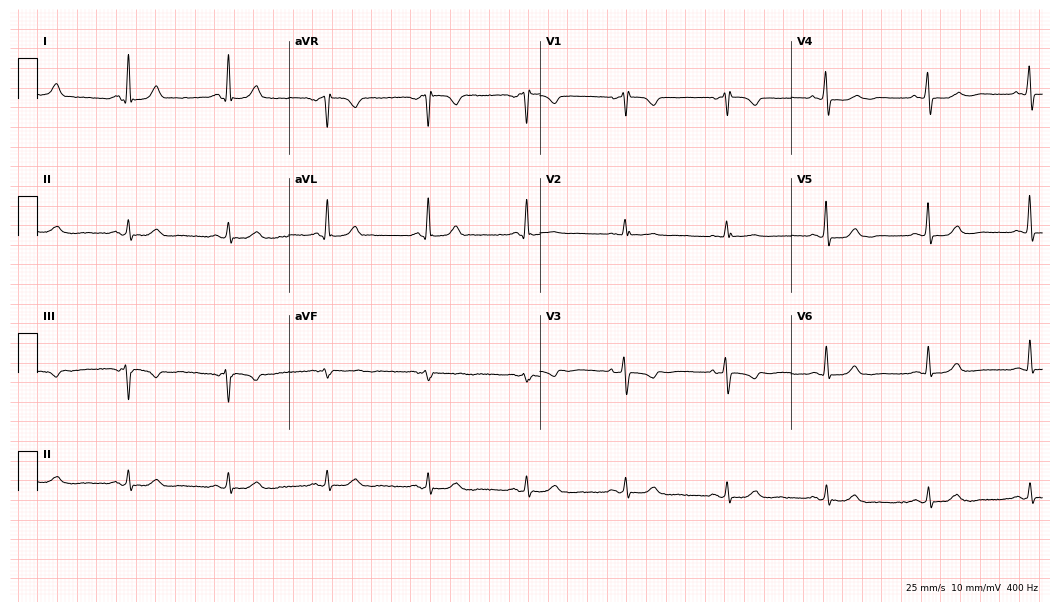
Standard 12-lead ECG recorded from a 63-year-old female. None of these six findings is recorded: first-degree AV block, right bundle branch block, left bundle branch block, sinus bradycardia, atrial fibrillation, sinus tachycardia. Findings outside these six are not listed.